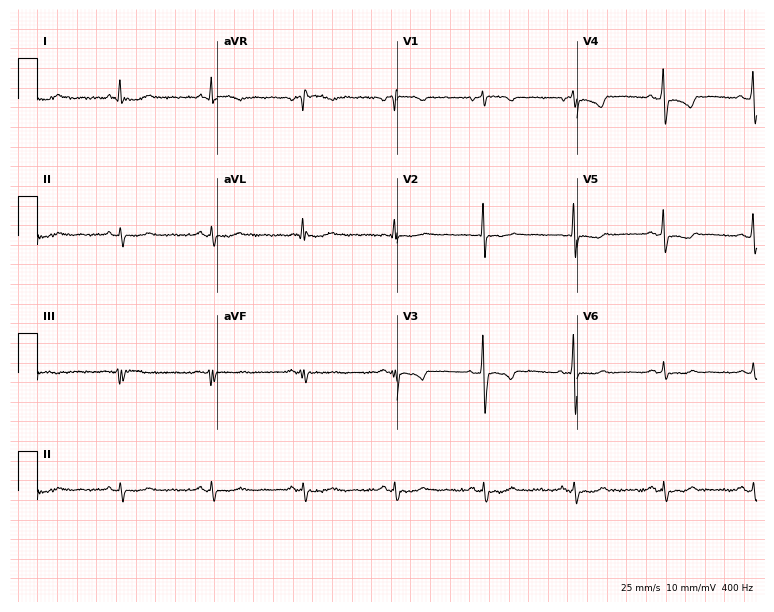
ECG — a 61-year-old female. Screened for six findings — first-degree AV block, right bundle branch block, left bundle branch block, sinus bradycardia, atrial fibrillation, sinus tachycardia — none is recorded. Findings outside these six are not listed.